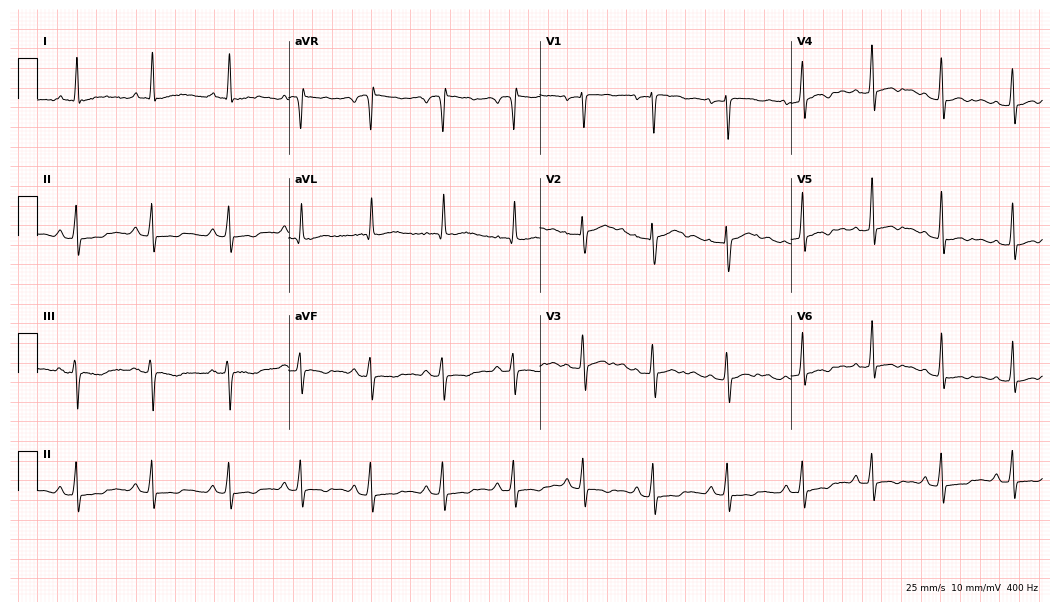
Electrocardiogram, a female, 32 years old. Of the six screened findings (first-degree AV block, right bundle branch block (RBBB), left bundle branch block (LBBB), sinus bradycardia, atrial fibrillation (AF), sinus tachycardia), none is recorded.